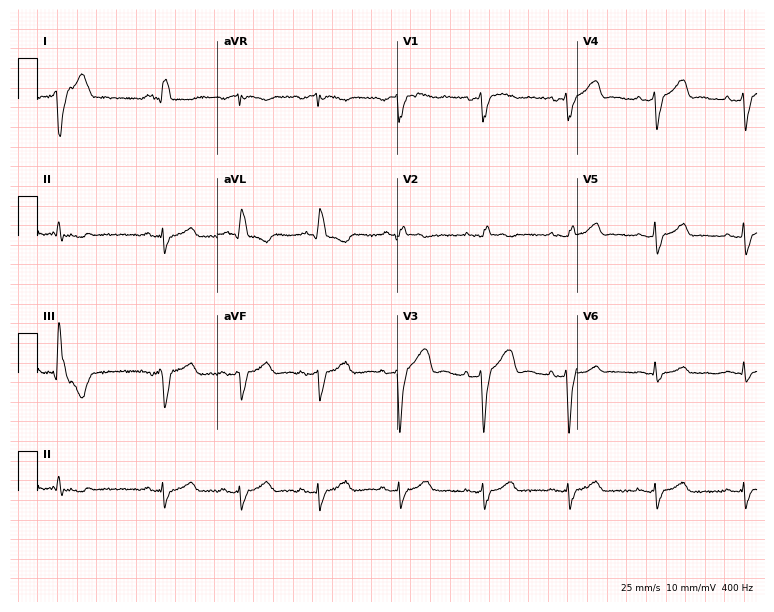
ECG (7.3-second recording at 400 Hz) — a 48-year-old man. Screened for six findings — first-degree AV block, right bundle branch block, left bundle branch block, sinus bradycardia, atrial fibrillation, sinus tachycardia — none is recorded. Only these six findings were labelled.